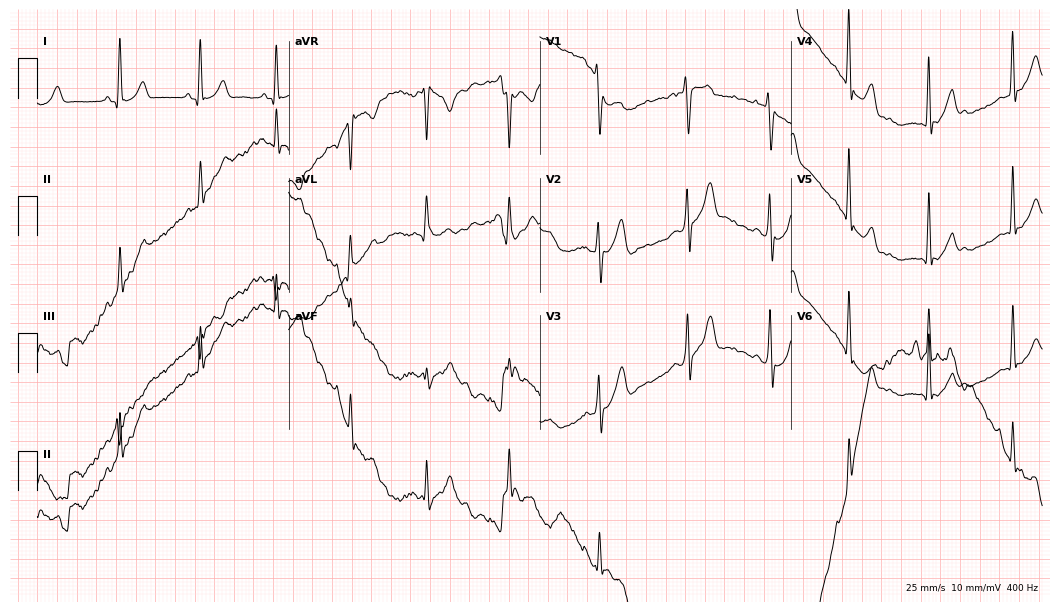
ECG (10.2-second recording at 400 Hz) — a man, 20 years old. Labelled as a normal ECG.